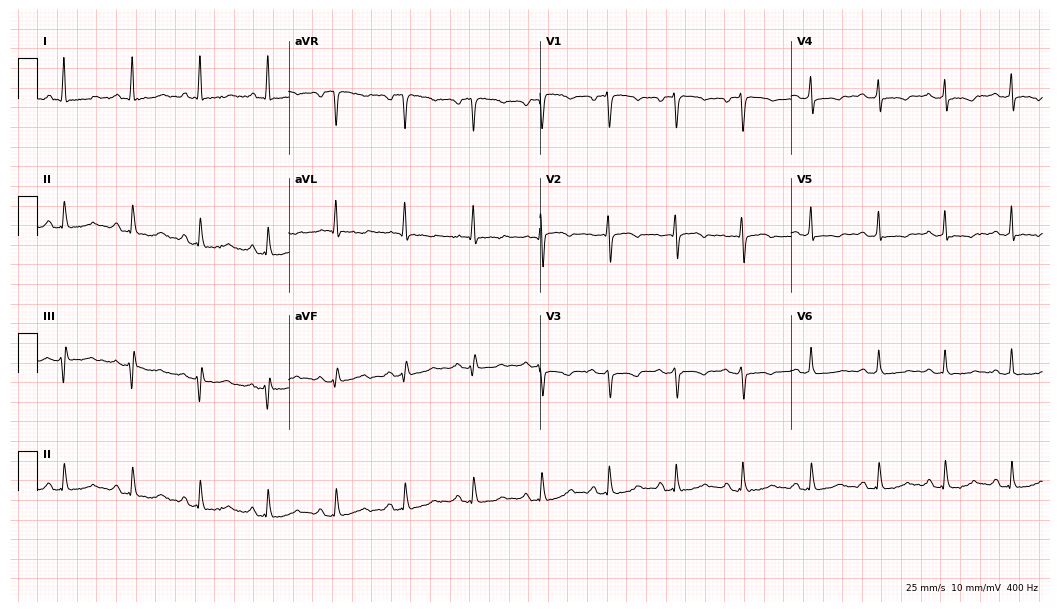
12-lead ECG from a woman, 57 years old. No first-degree AV block, right bundle branch block, left bundle branch block, sinus bradycardia, atrial fibrillation or sinus tachycardia recorded for this tracing. Only these six findings were labelled.